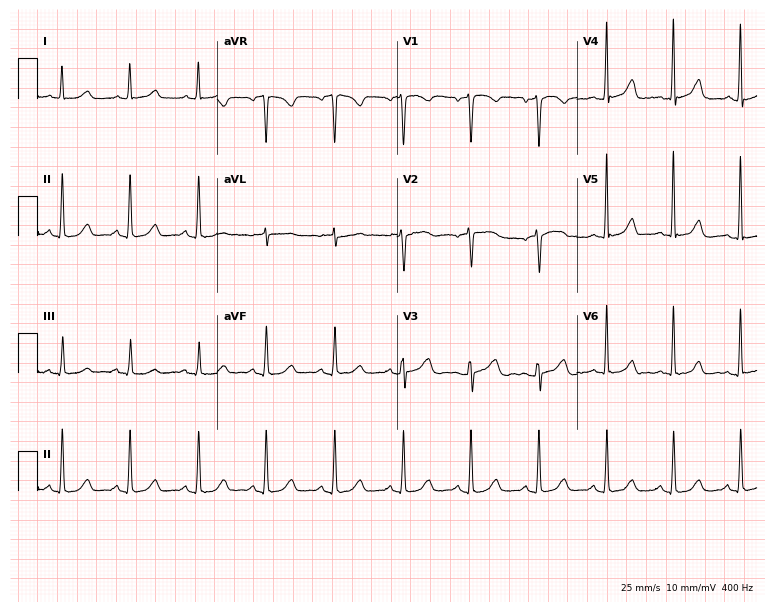
12-lead ECG from a female patient, 56 years old. Labelled as a normal ECG.